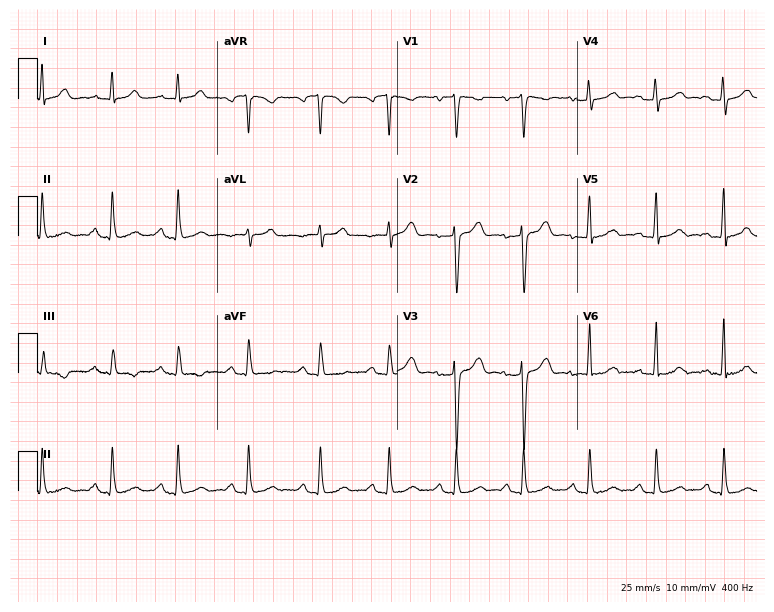
Standard 12-lead ECG recorded from a female patient, 37 years old. Read as a normal ECG.